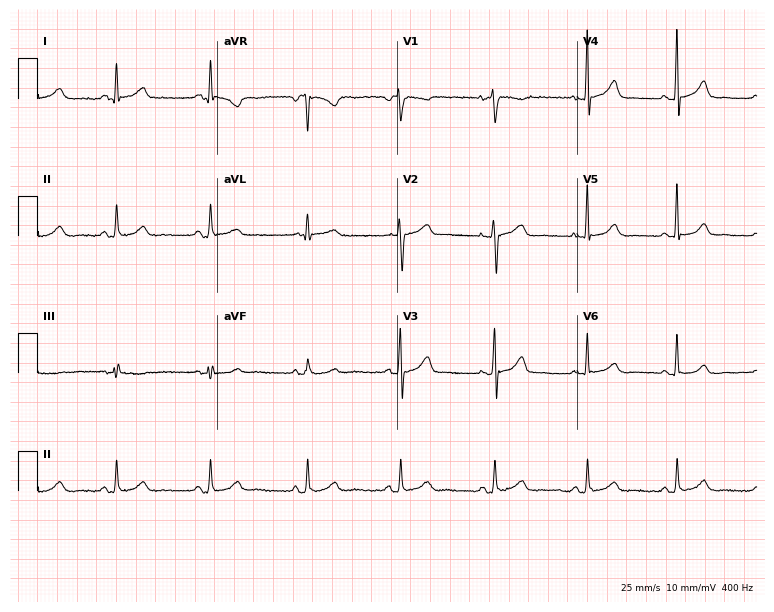
ECG (7.3-second recording at 400 Hz) — a 47-year-old female patient. Screened for six findings — first-degree AV block, right bundle branch block (RBBB), left bundle branch block (LBBB), sinus bradycardia, atrial fibrillation (AF), sinus tachycardia — none is recorded. Findings outside these six are not listed.